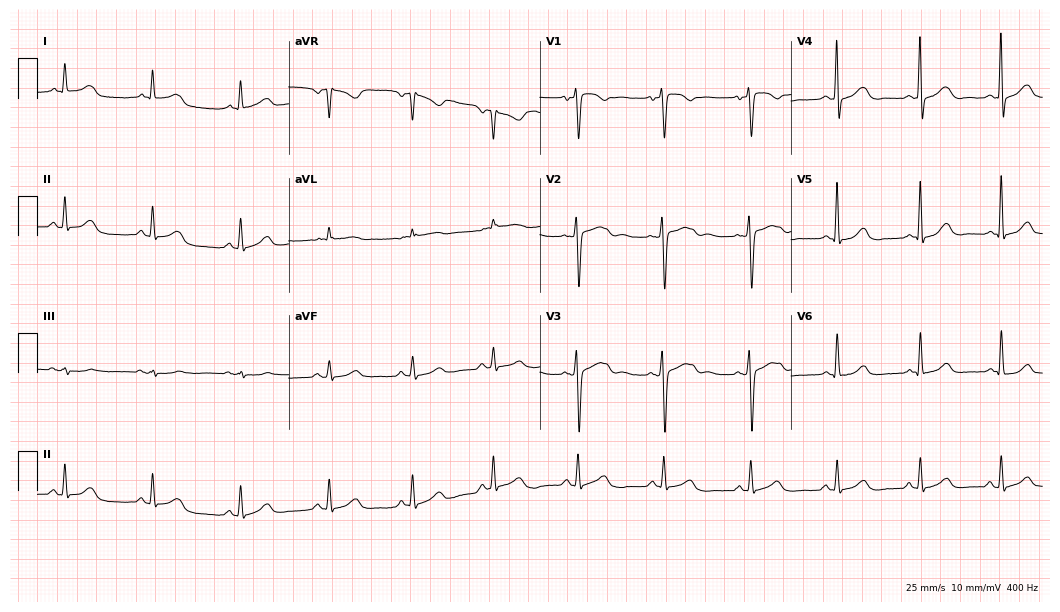
ECG (10.2-second recording at 400 Hz) — a 47-year-old female patient. Labelled as a normal ECG.